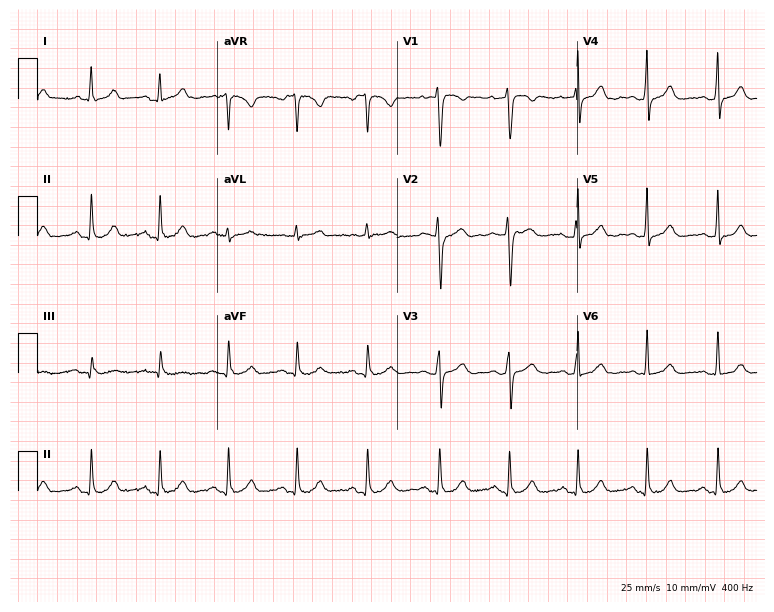
Electrocardiogram (7.3-second recording at 400 Hz), a female, 42 years old. Overall reading on record: normal ECG.